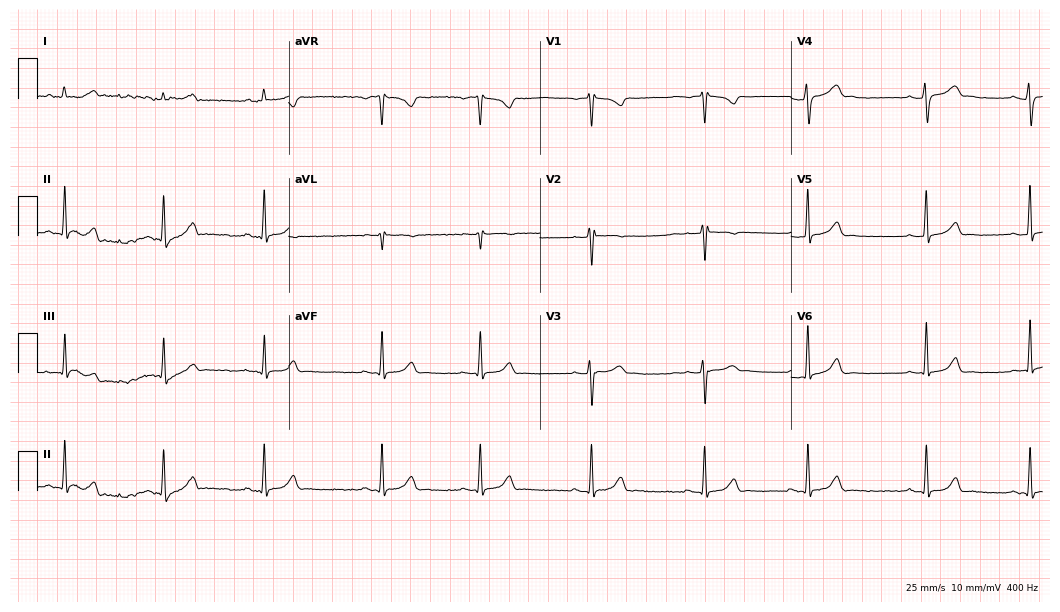
ECG (10.2-second recording at 400 Hz) — a female patient, 29 years old. Screened for six findings — first-degree AV block, right bundle branch block, left bundle branch block, sinus bradycardia, atrial fibrillation, sinus tachycardia — none is recorded.